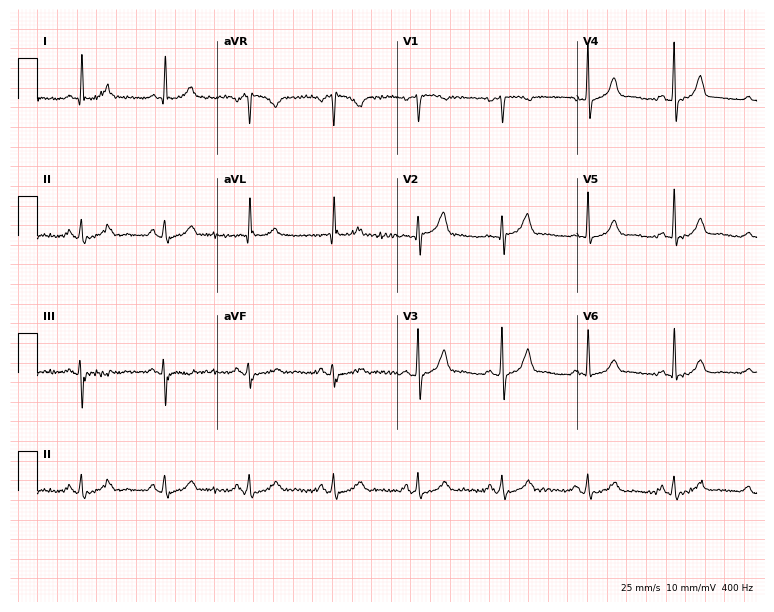
ECG — a male patient, 63 years old. Labelled as a normal ECG.